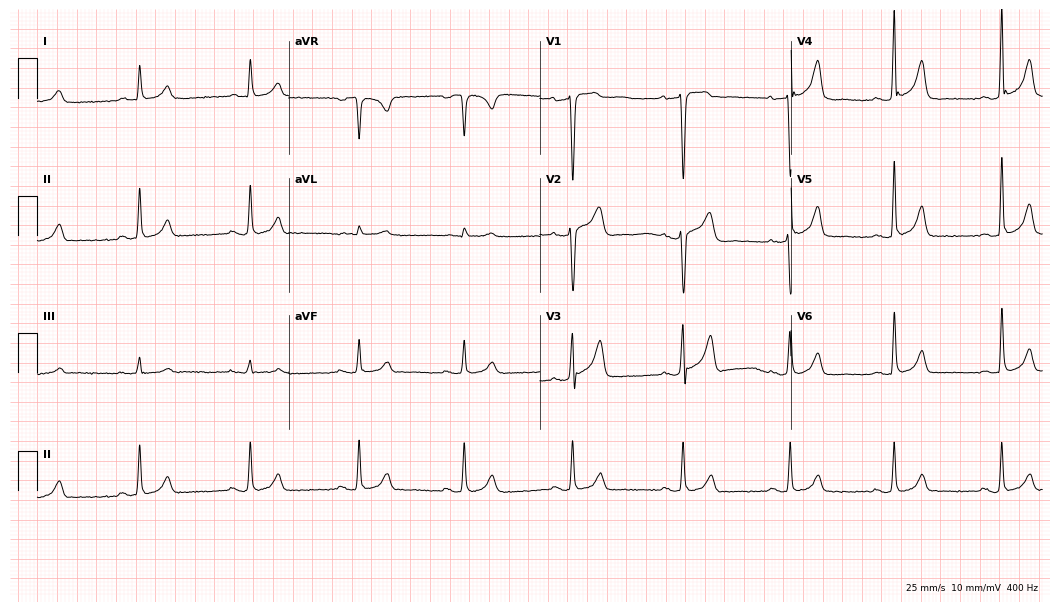
12-lead ECG (10.2-second recording at 400 Hz) from a 58-year-old male patient. Screened for six findings — first-degree AV block, right bundle branch block, left bundle branch block, sinus bradycardia, atrial fibrillation, sinus tachycardia — none is recorded.